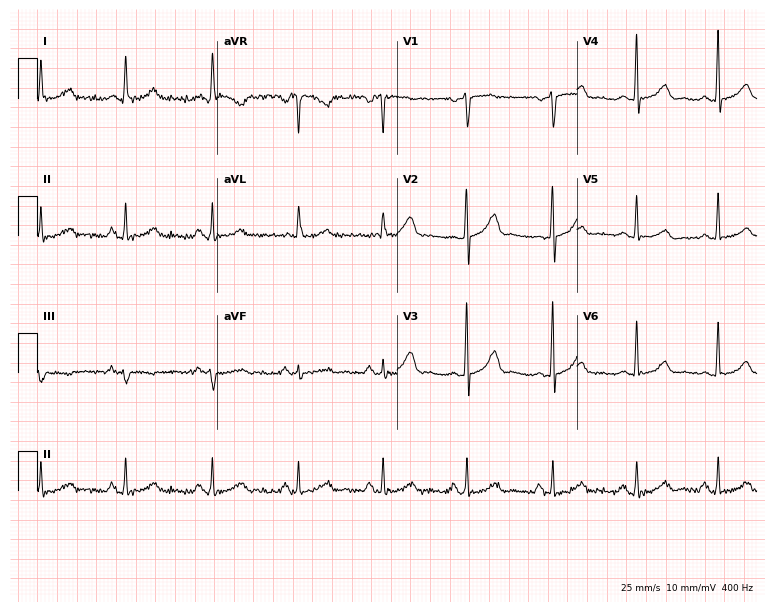
ECG (7.3-second recording at 400 Hz) — a female patient, 68 years old. Screened for six findings — first-degree AV block, right bundle branch block, left bundle branch block, sinus bradycardia, atrial fibrillation, sinus tachycardia — none is recorded.